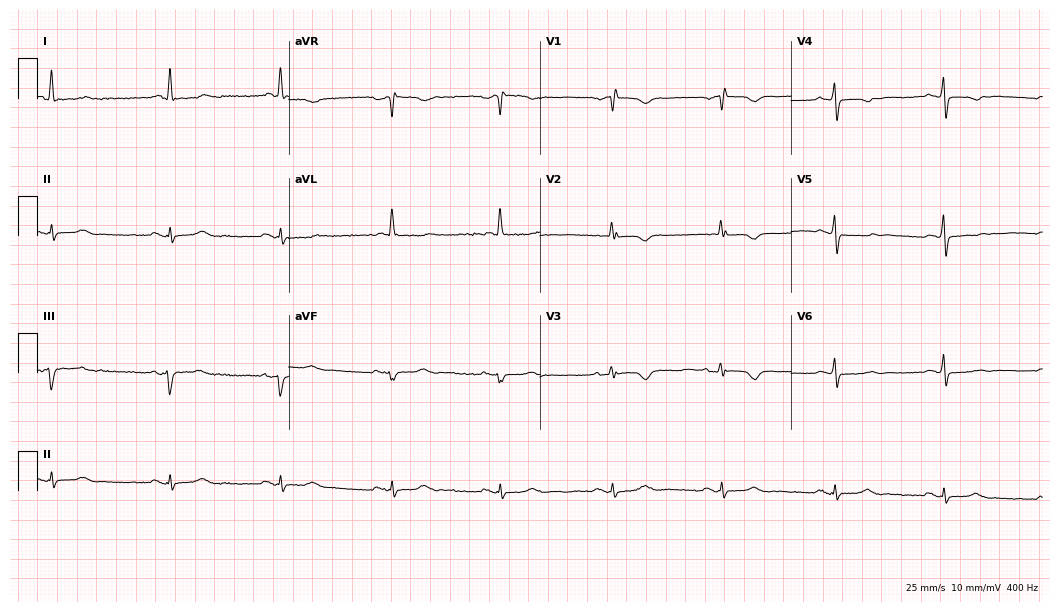
12-lead ECG from a female patient, 81 years old (10.2-second recording at 400 Hz). No first-degree AV block, right bundle branch block (RBBB), left bundle branch block (LBBB), sinus bradycardia, atrial fibrillation (AF) or sinus tachycardia recorded for this tracing.